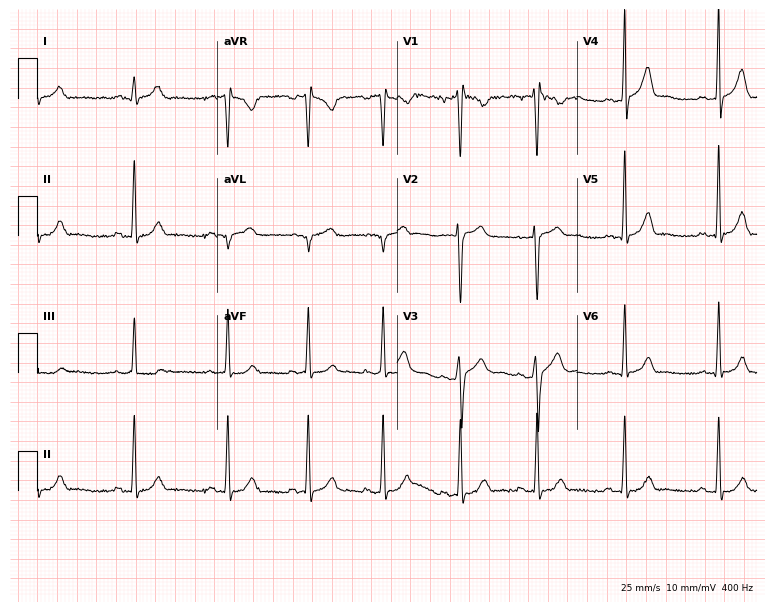
12-lead ECG from a 23-year-old male patient (7.3-second recording at 400 Hz). Recorded interpretation: within normal limits.